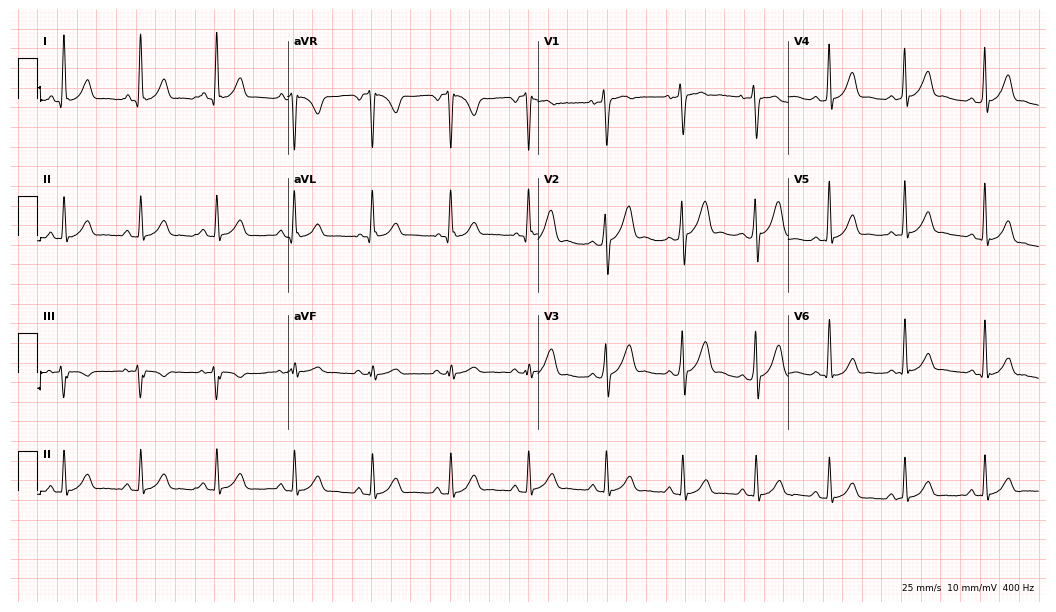
12-lead ECG (10.2-second recording at 400 Hz) from a 20-year-old man. Labelled as a normal ECG.